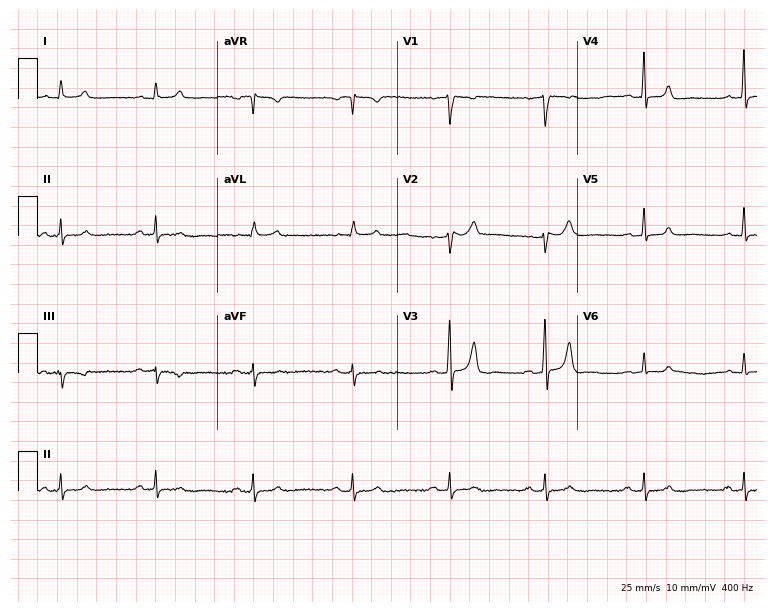
12-lead ECG (7.3-second recording at 400 Hz) from a 36-year-old female patient. Labelled as a normal ECG.